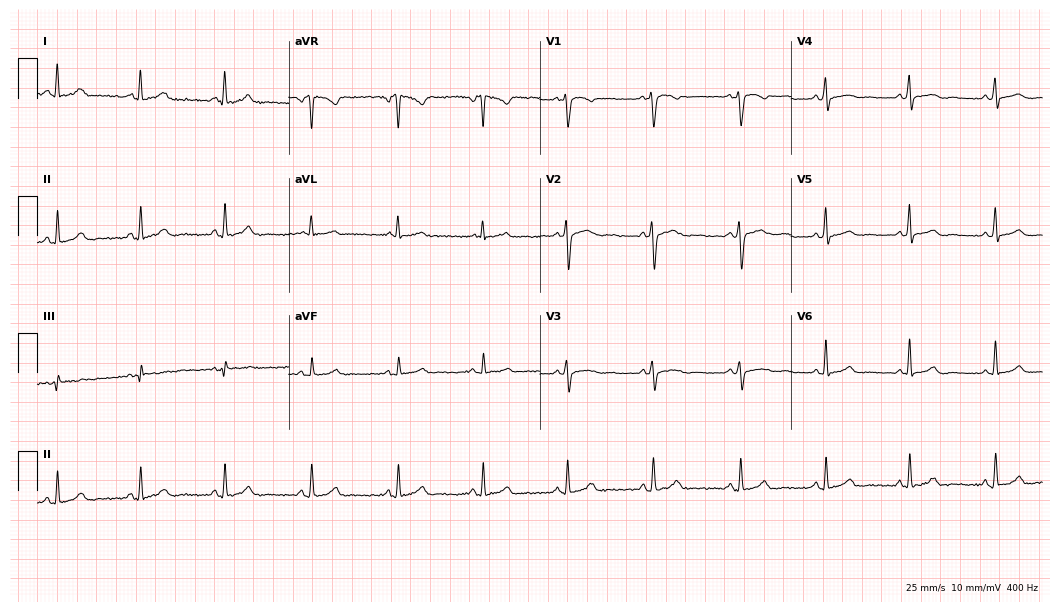
ECG (10.2-second recording at 400 Hz) — a 37-year-old female. Screened for six findings — first-degree AV block, right bundle branch block, left bundle branch block, sinus bradycardia, atrial fibrillation, sinus tachycardia — none is recorded.